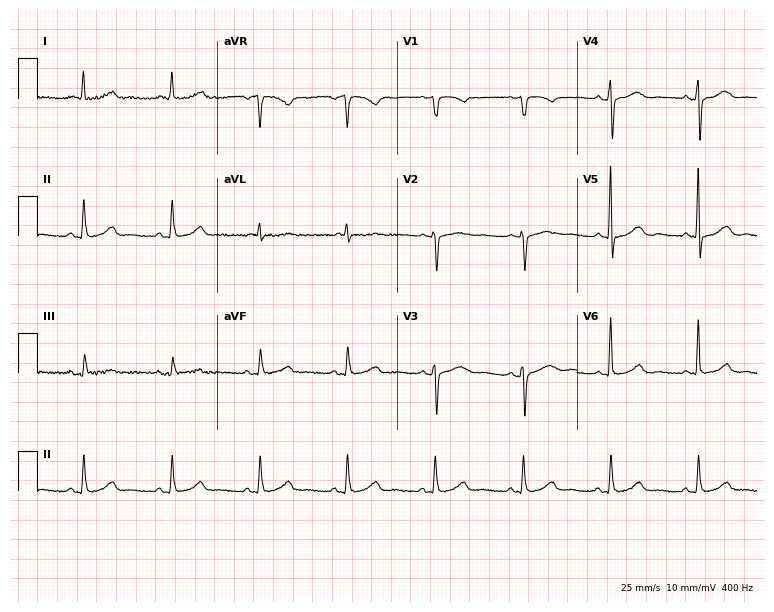
Resting 12-lead electrocardiogram (7.3-second recording at 400 Hz). Patient: a woman, 69 years old. Read as a normal ECG.